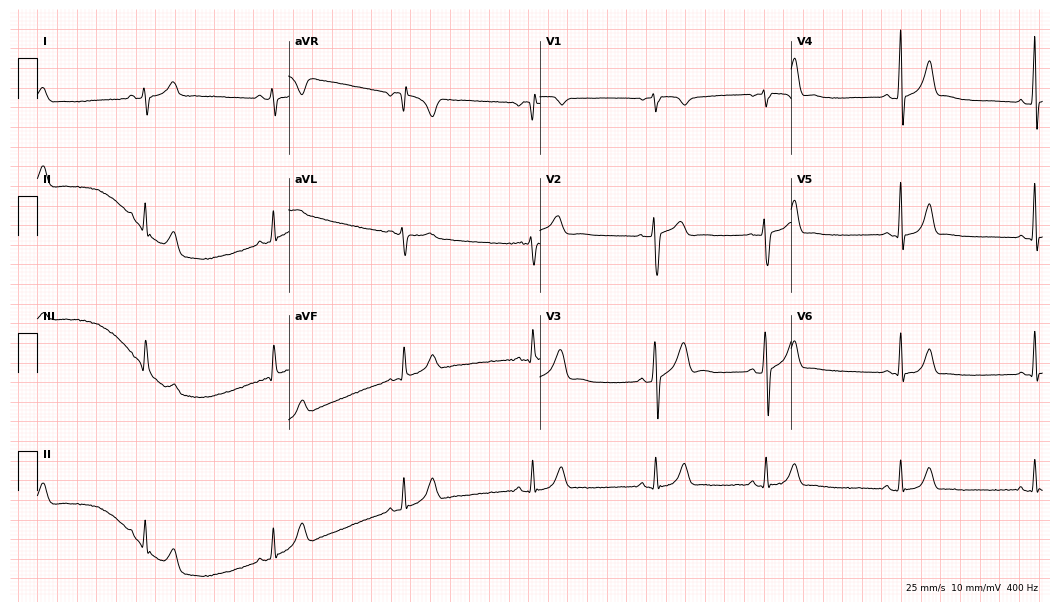
Electrocardiogram, a male patient, 30 years old. Interpretation includes sinus bradycardia (a sinus rate of 50 beats per minute or less).